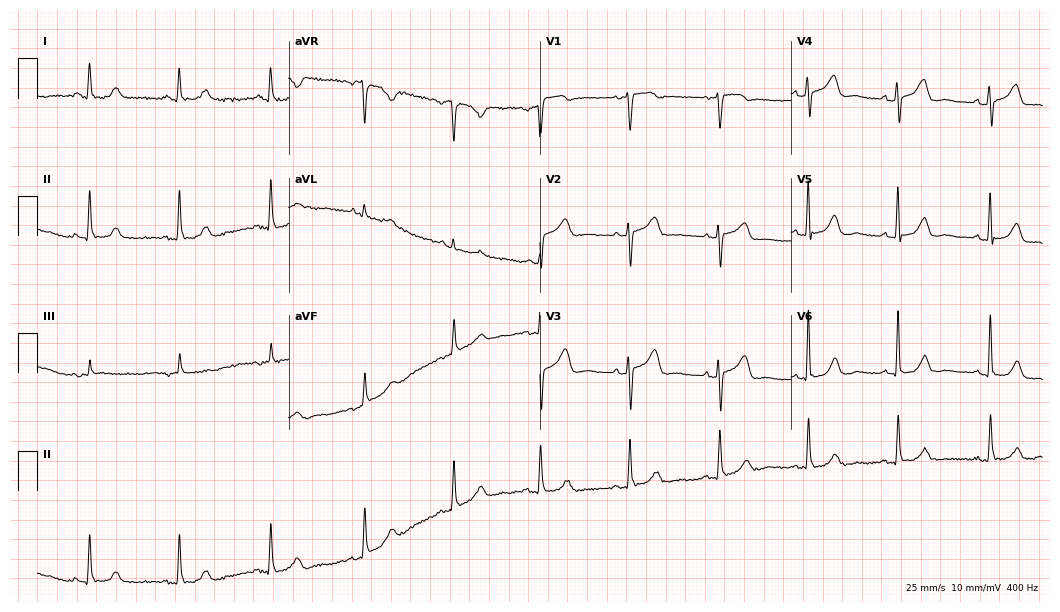
Electrocardiogram (10.2-second recording at 400 Hz), a woman, 66 years old. Overall reading on record: normal ECG.